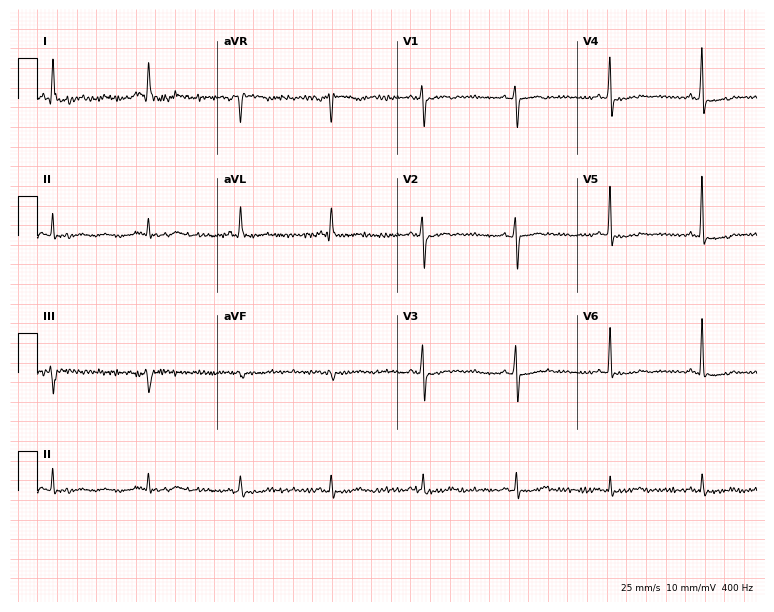
12-lead ECG (7.3-second recording at 400 Hz) from a woman, 77 years old. Screened for six findings — first-degree AV block, right bundle branch block, left bundle branch block, sinus bradycardia, atrial fibrillation, sinus tachycardia — none is recorded. Only these six findings were labelled.